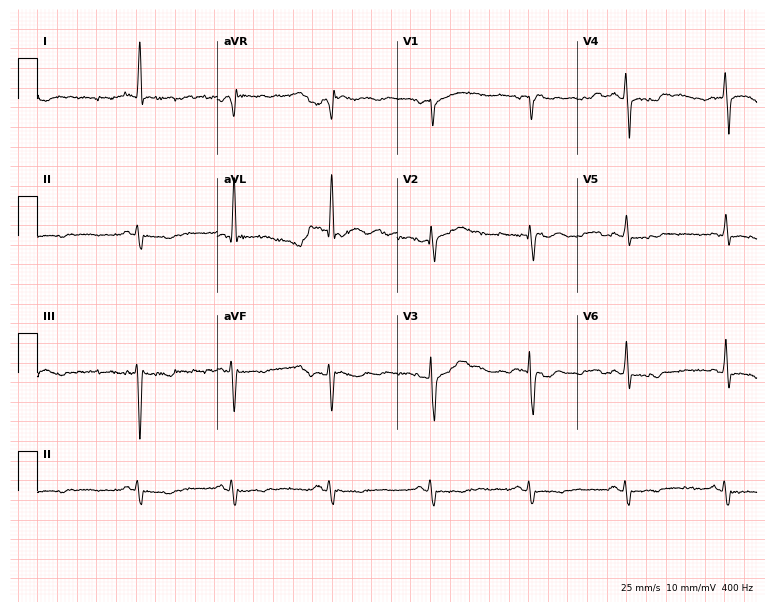
Standard 12-lead ECG recorded from a male patient, 82 years old. None of these six findings is recorded: first-degree AV block, right bundle branch block, left bundle branch block, sinus bradycardia, atrial fibrillation, sinus tachycardia. Only these six findings were labelled.